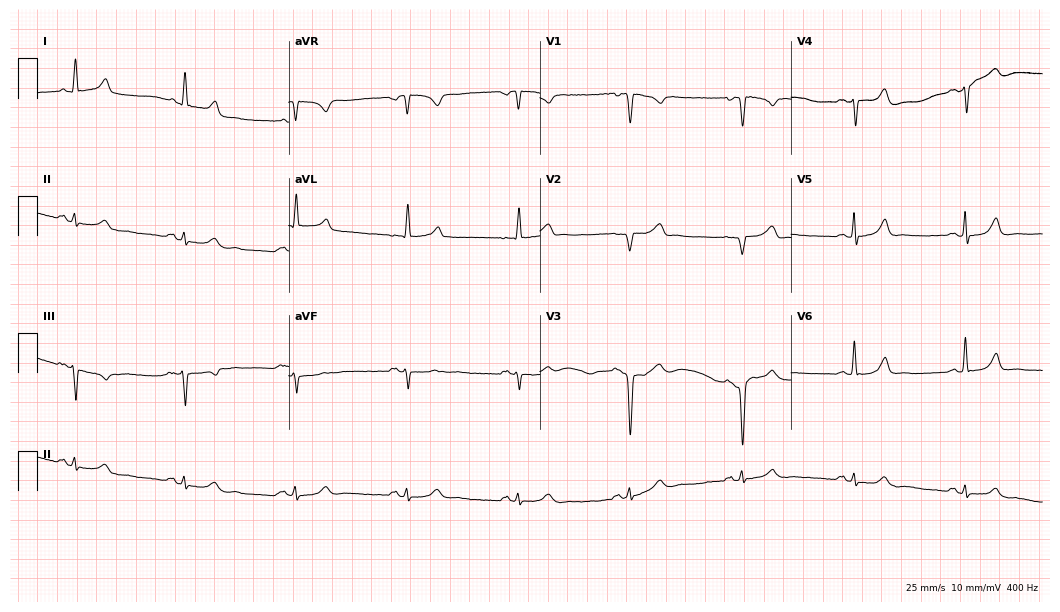
Electrocardiogram, a woman, 55 years old. Of the six screened findings (first-degree AV block, right bundle branch block, left bundle branch block, sinus bradycardia, atrial fibrillation, sinus tachycardia), none is recorded. Other findings, if any, are not listed.